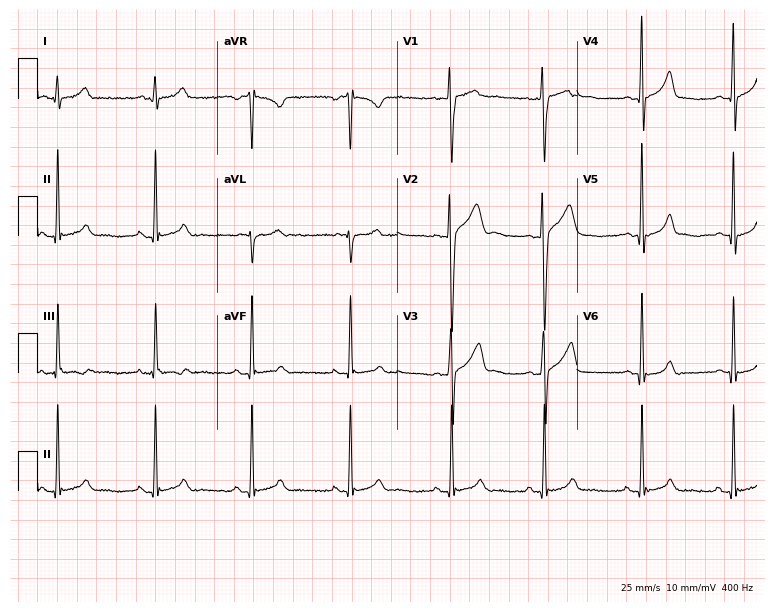
Standard 12-lead ECG recorded from a male patient, 20 years old. None of these six findings is recorded: first-degree AV block, right bundle branch block, left bundle branch block, sinus bradycardia, atrial fibrillation, sinus tachycardia. Only these six findings were labelled.